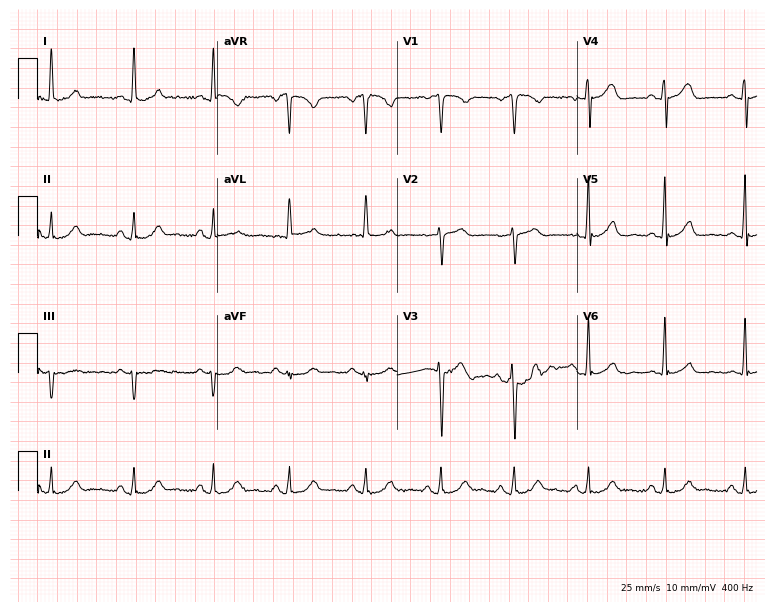
12-lead ECG from a male, 61 years old. Labelled as a normal ECG.